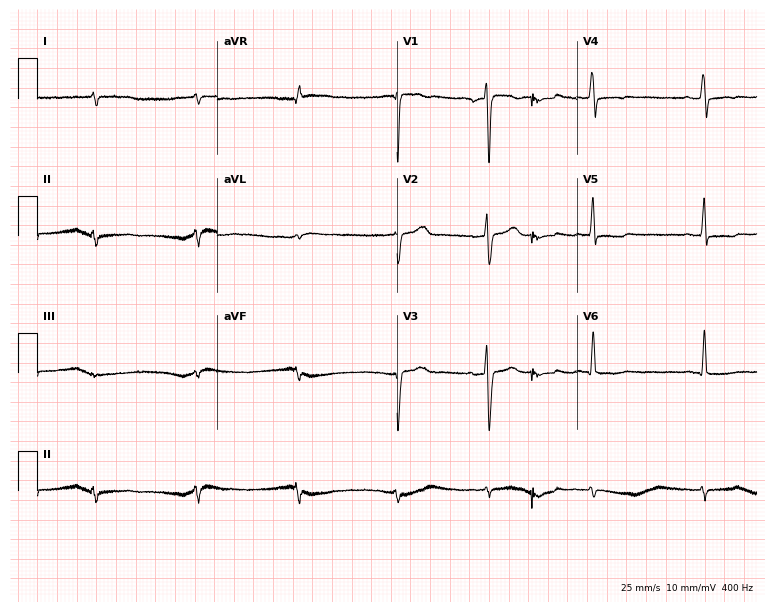
Standard 12-lead ECG recorded from a 65-year-old female patient (7.3-second recording at 400 Hz). None of these six findings is recorded: first-degree AV block, right bundle branch block, left bundle branch block, sinus bradycardia, atrial fibrillation, sinus tachycardia.